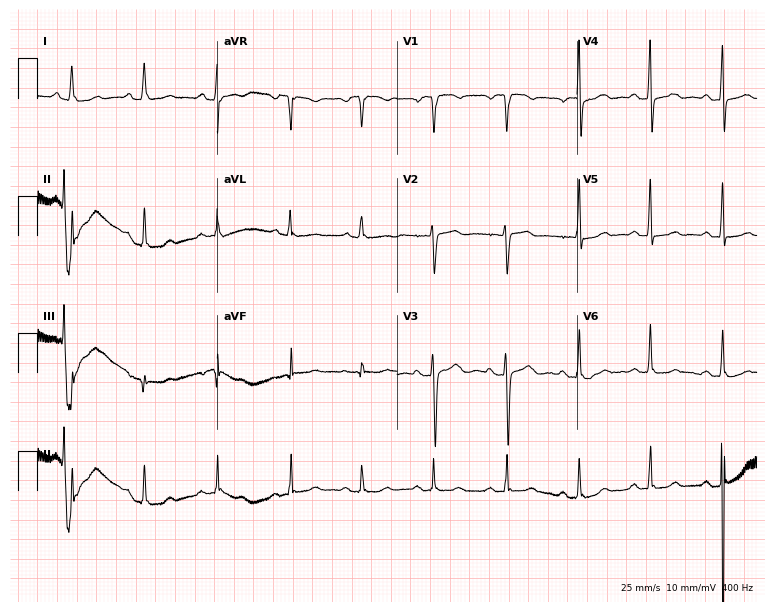
12-lead ECG from a female patient, 51 years old. Screened for six findings — first-degree AV block, right bundle branch block (RBBB), left bundle branch block (LBBB), sinus bradycardia, atrial fibrillation (AF), sinus tachycardia — none is recorded.